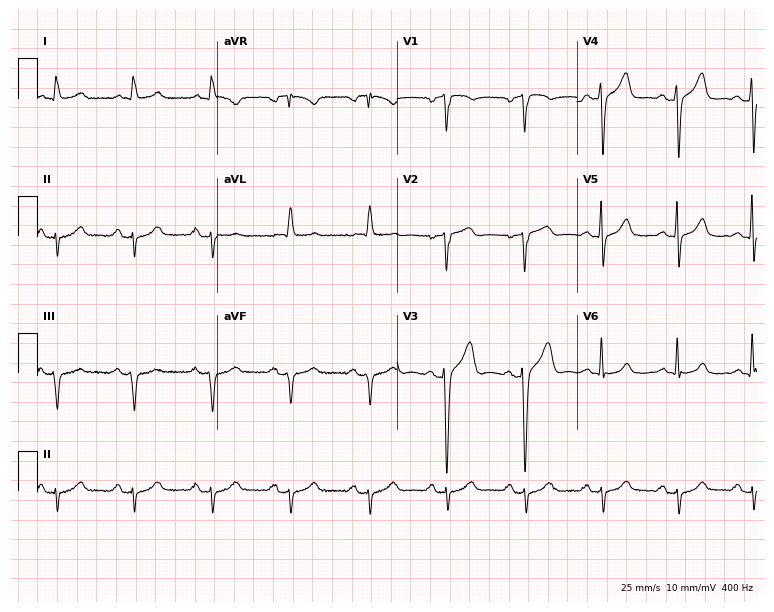
Resting 12-lead electrocardiogram. Patient: a male, 60 years old. None of these six findings is recorded: first-degree AV block, right bundle branch block, left bundle branch block, sinus bradycardia, atrial fibrillation, sinus tachycardia. Other findings, if any, are not listed.